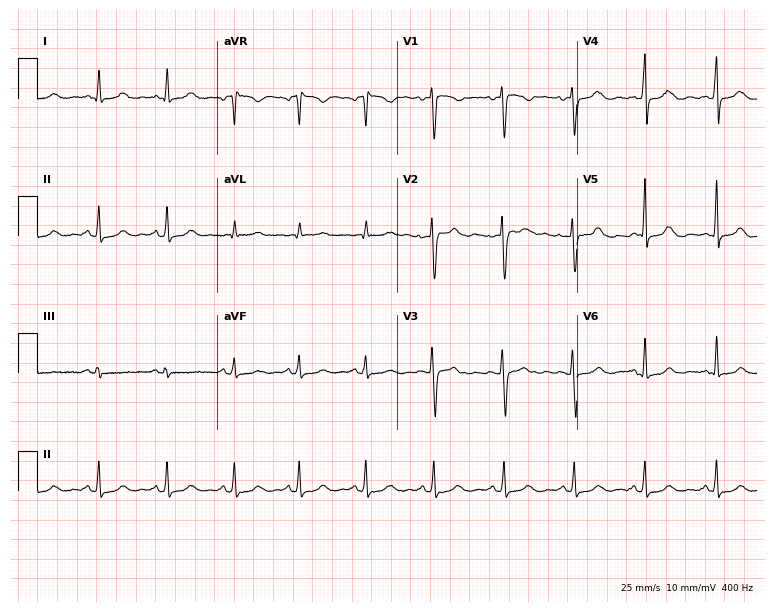
12-lead ECG (7.3-second recording at 400 Hz) from a 33-year-old female. Labelled as a normal ECG.